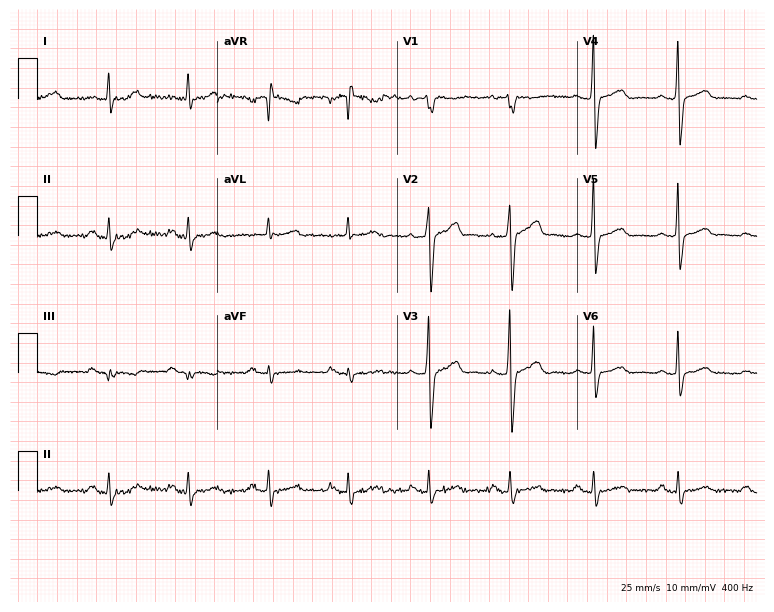
Standard 12-lead ECG recorded from a 40-year-old male. None of these six findings is recorded: first-degree AV block, right bundle branch block, left bundle branch block, sinus bradycardia, atrial fibrillation, sinus tachycardia. Other findings, if any, are not listed.